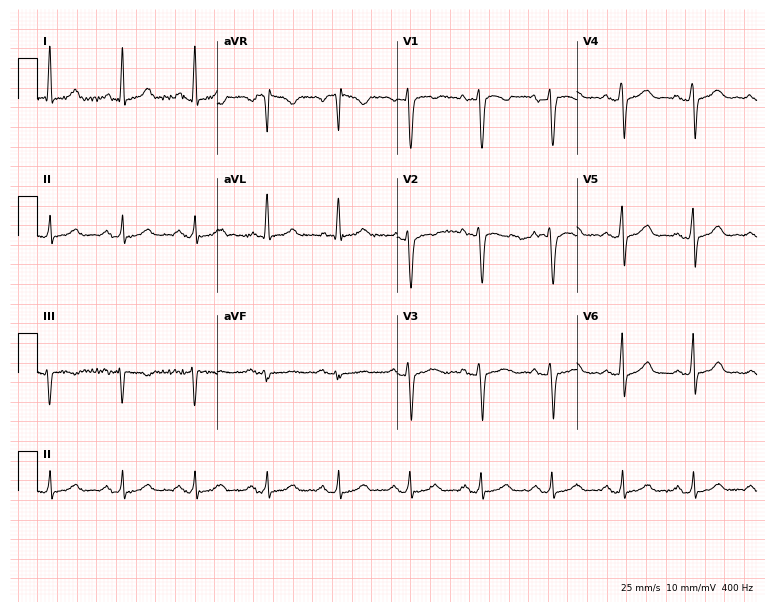
Electrocardiogram (7.3-second recording at 400 Hz), a 48-year-old female. Overall reading on record: normal ECG.